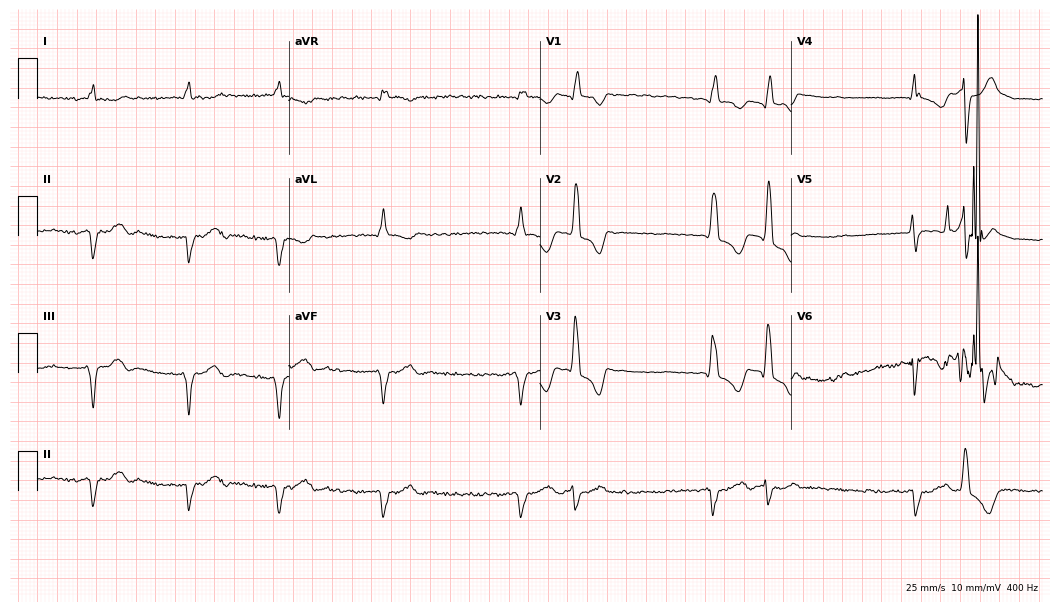
Electrocardiogram, a 68-year-old woman. Interpretation includes right bundle branch block (RBBB), atrial fibrillation (AF).